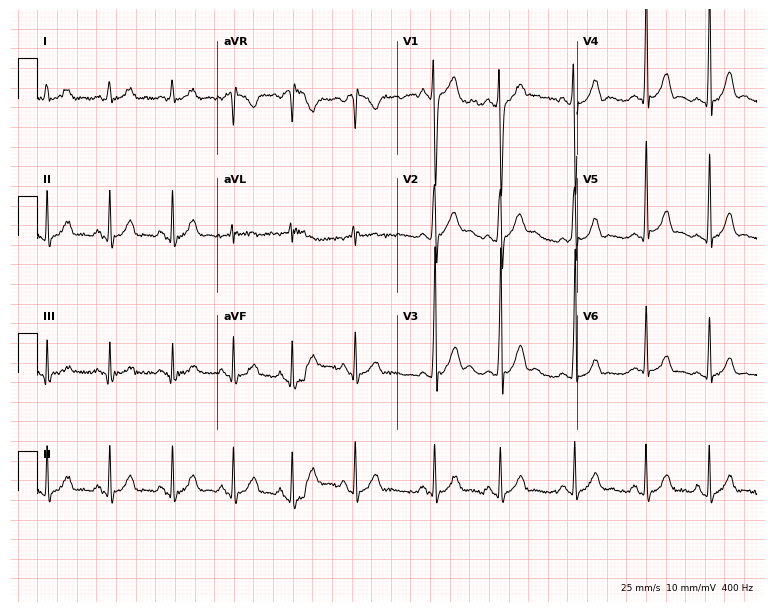
Resting 12-lead electrocardiogram. Patient: a man, 19 years old. Read as a normal ECG.